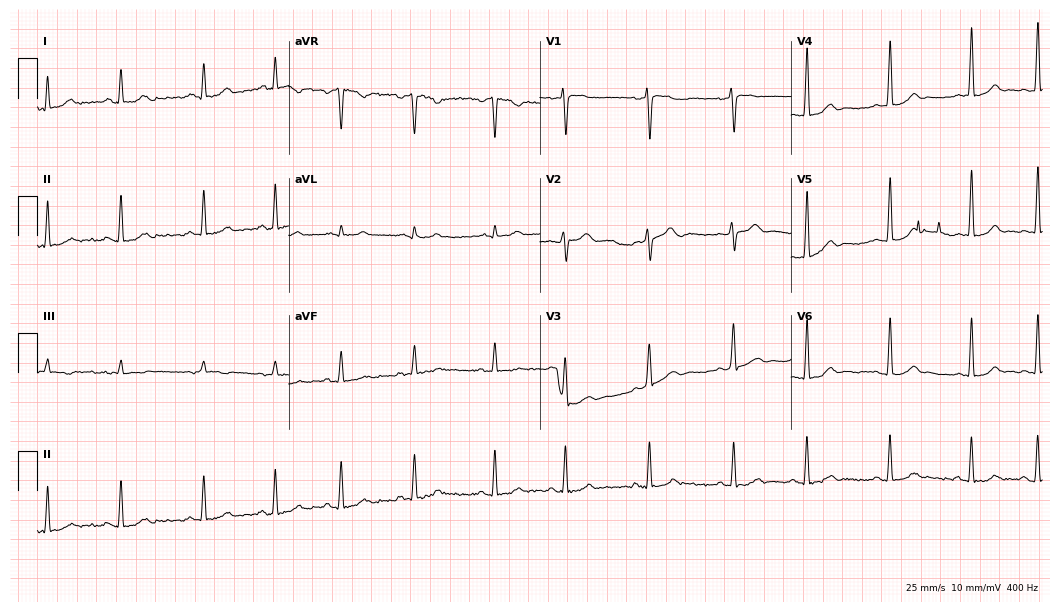
Resting 12-lead electrocardiogram (10.2-second recording at 400 Hz). Patient: a female, 17 years old. Read as a normal ECG.